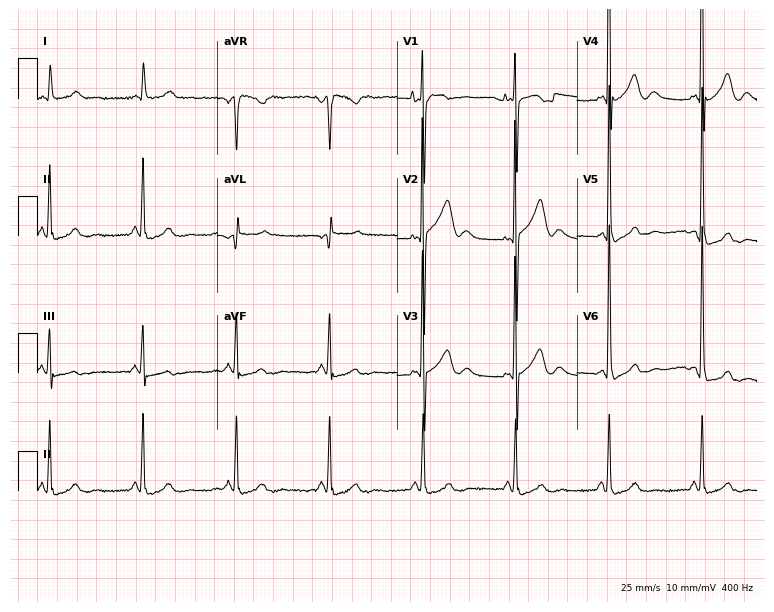
Electrocardiogram, a female patient, 83 years old. Of the six screened findings (first-degree AV block, right bundle branch block, left bundle branch block, sinus bradycardia, atrial fibrillation, sinus tachycardia), none is recorded.